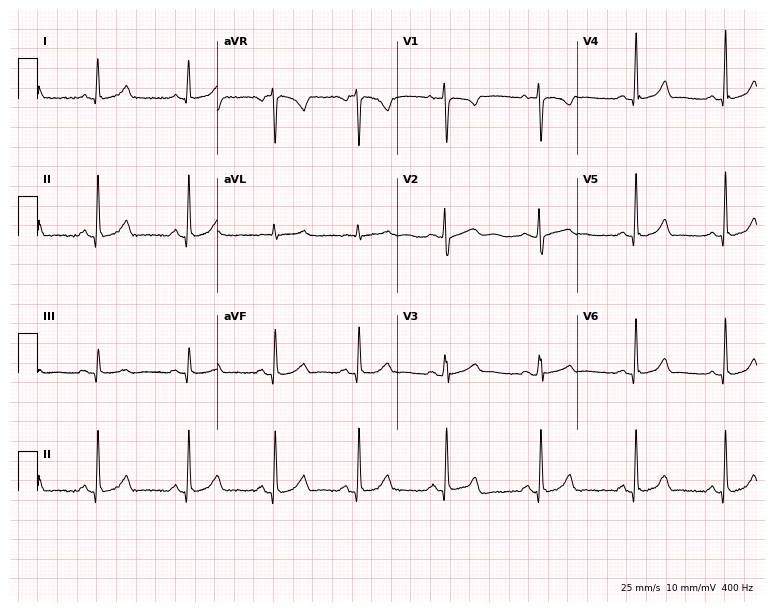
Electrocardiogram, a female, 27 years old. Of the six screened findings (first-degree AV block, right bundle branch block, left bundle branch block, sinus bradycardia, atrial fibrillation, sinus tachycardia), none is recorded. Only these six findings were labelled.